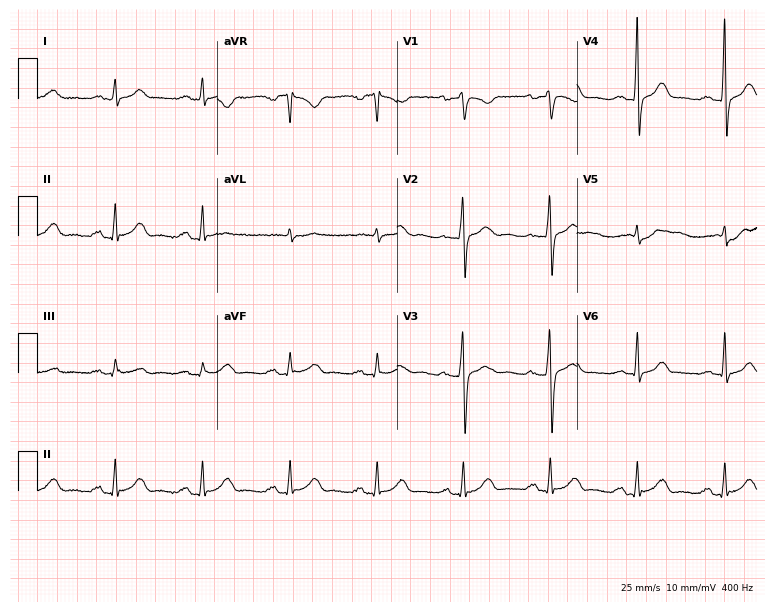
Resting 12-lead electrocardiogram (7.3-second recording at 400 Hz). Patient: a male, 55 years old. Read as a normal ECG.